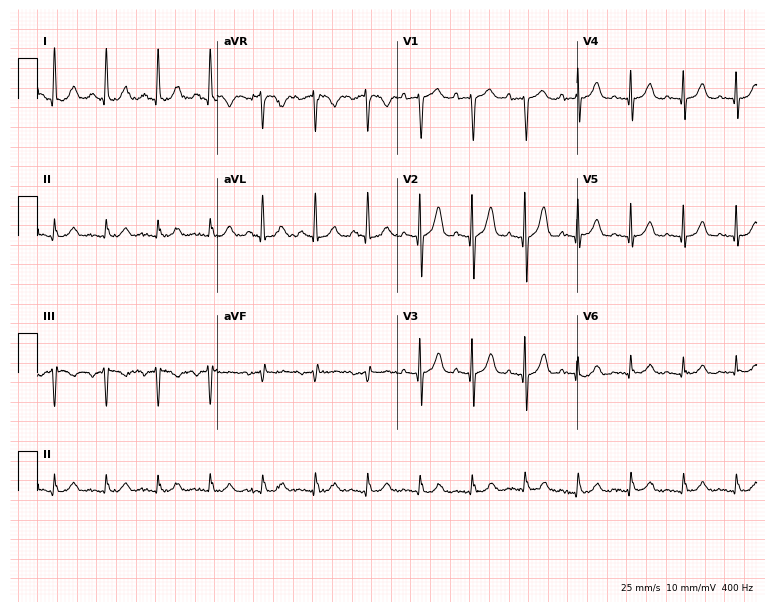
Standard 12-lead ECG recorded from a 75-year-old woman (7.3-second recording at 400 Hz). The tracing shows sinus tachycardia (a sinus rate of 100 beats per minute or more).